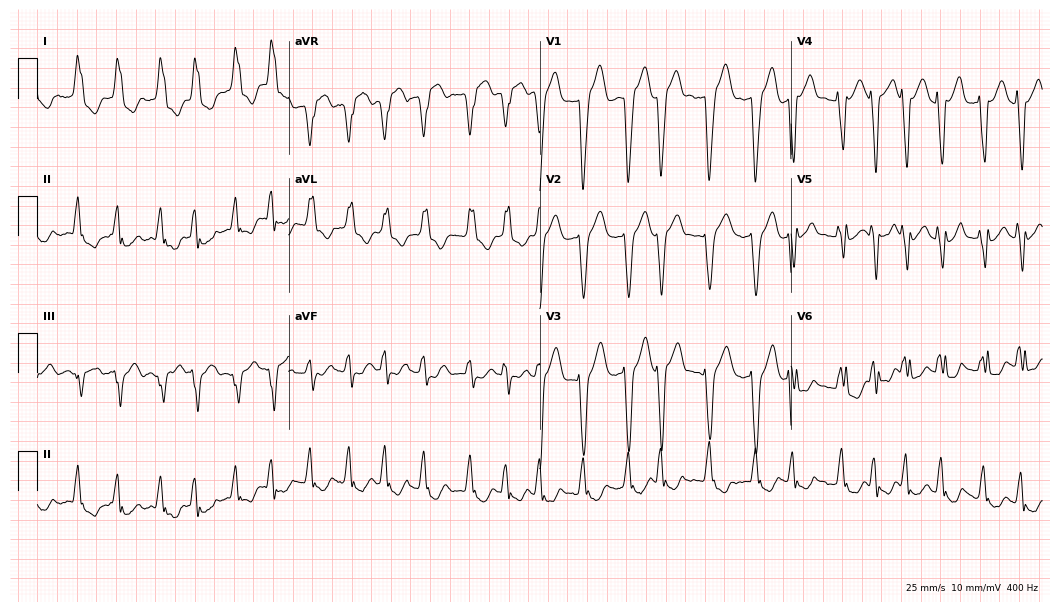
Standard 12-lead ECG recorded from a female, 64 years old (10.2-second recording at 400 Hz). The tracing shows left bundle branch block (LBBB), atrial fibrillation (AF).